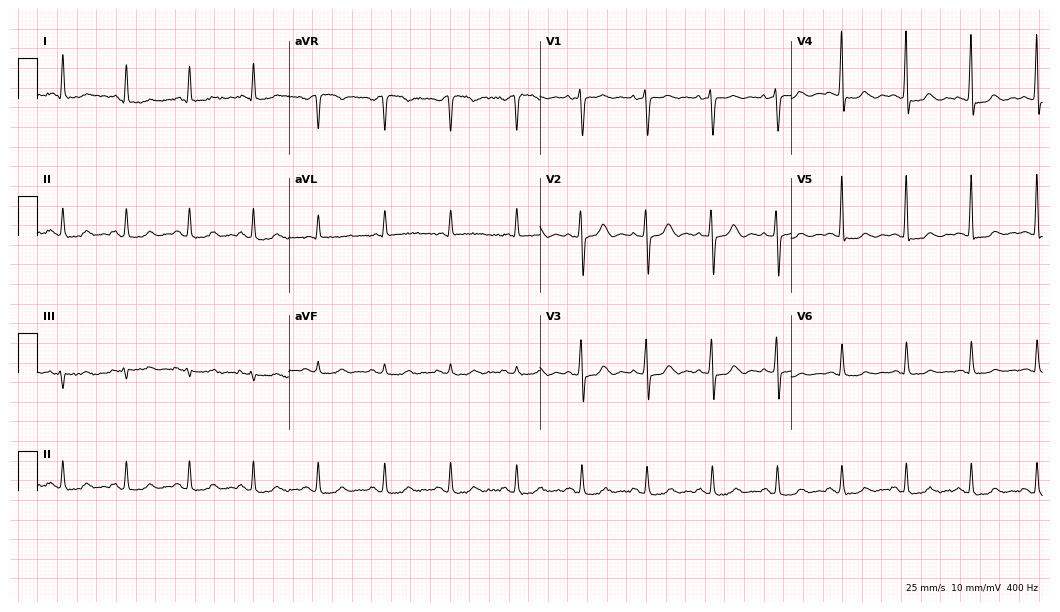
ECG (10.2-second recording at 400 Hz) — a 58-year-old female patient. Screened for six findings — first-degree AV block, right bundle branch block (RBBB), left bundle branch block (LBBB), sinus bradycardia, atrial fibrillation (AF), sinus tachycardia — none is recorded. Other findings, if any, are not listed.